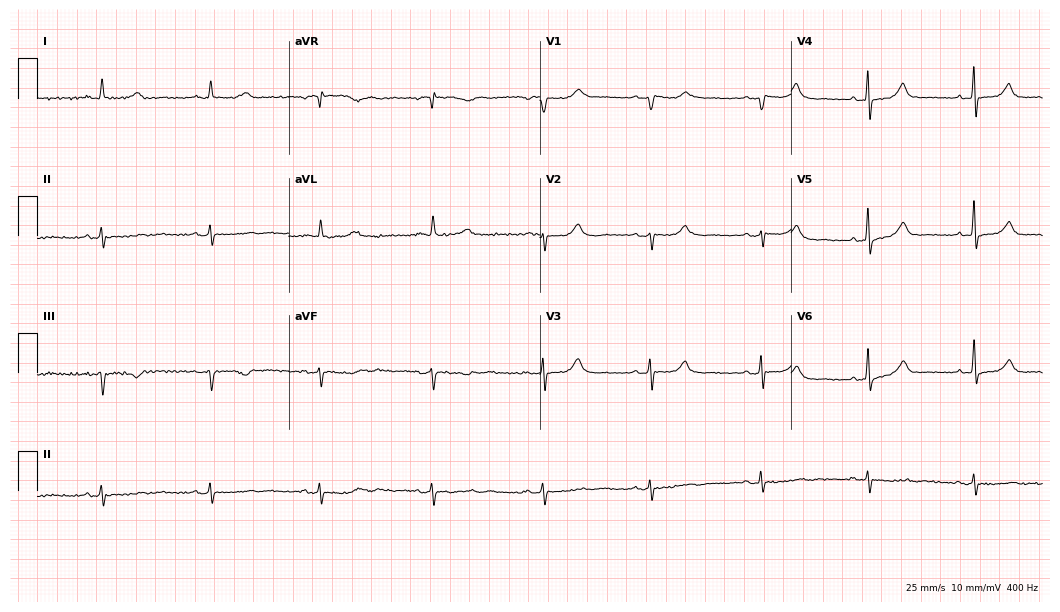
ECG — a woman, 74 years old. Screened for six findings — first-degree AV block, right bundle branch block (RBBB), left bundle branch block (LBBB), sinus bradycardia, atrial fibrillation (AF), sinus tachycardia — none is recorded.